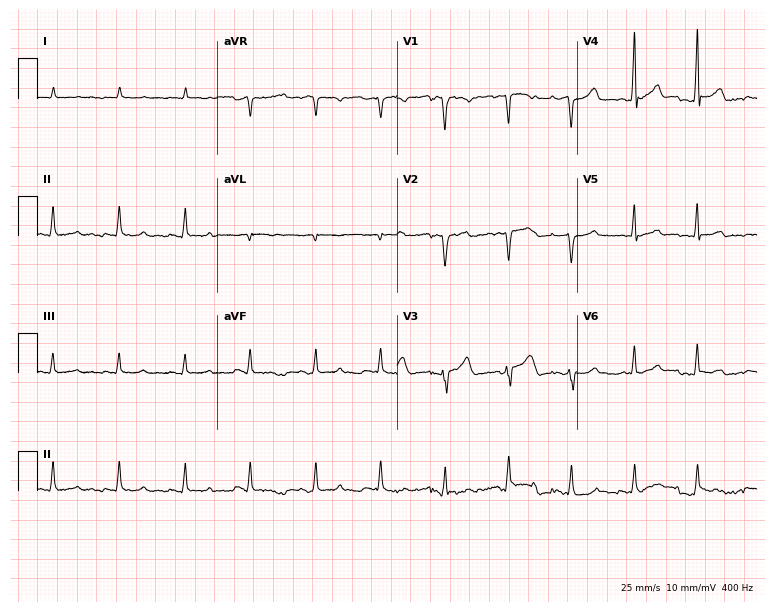
Electrocardiogram (7.3-second recording at 400 Hz), a man, 44 years old. Of the six screened findings (first-degree AV block, right bundle branch block, left bundle branch block, sinus bradycardia, atrial fibrillation, sinus tachycardia), none is recorded.